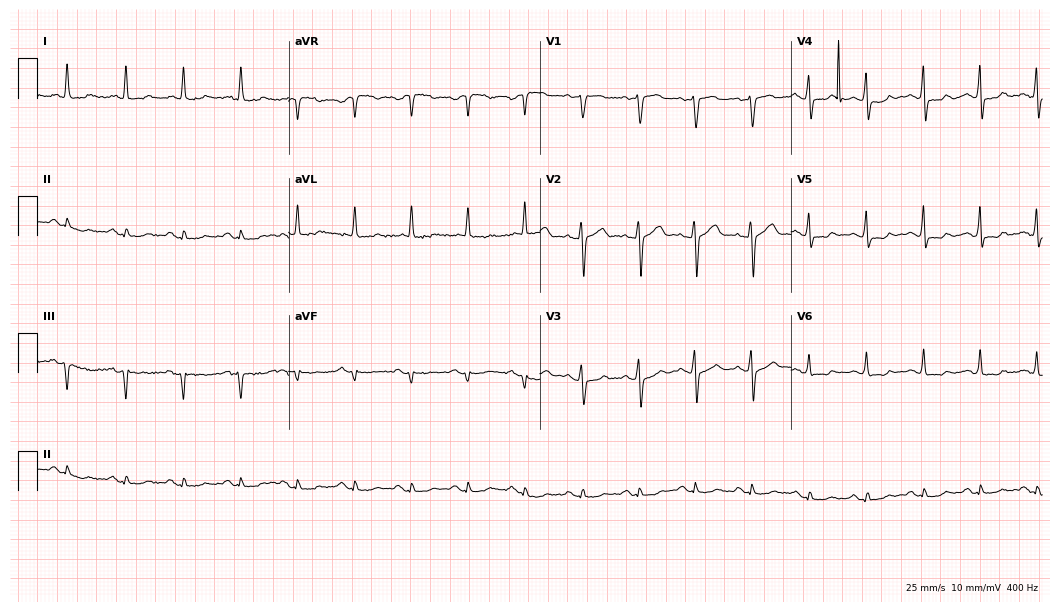
12-lead ECG from a 63-year-old male patient (10.2-second recording at 400 Hz). Shows sinus tachycardia (a sinus rate of 100 beats per minute or more).